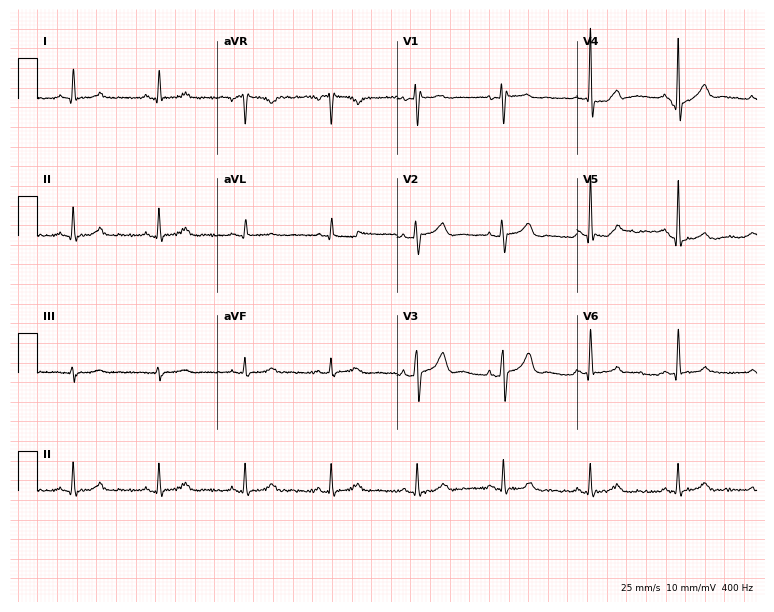
Electrocardiogram, a 73-year-old man. Of the six screened findings (first-degree AV block, right bundle branch block, left bundle branch block, sinus bradycardia, atrial fibrillation, sinus tachycardia), none is recorded. Findings outside these six are not listed.